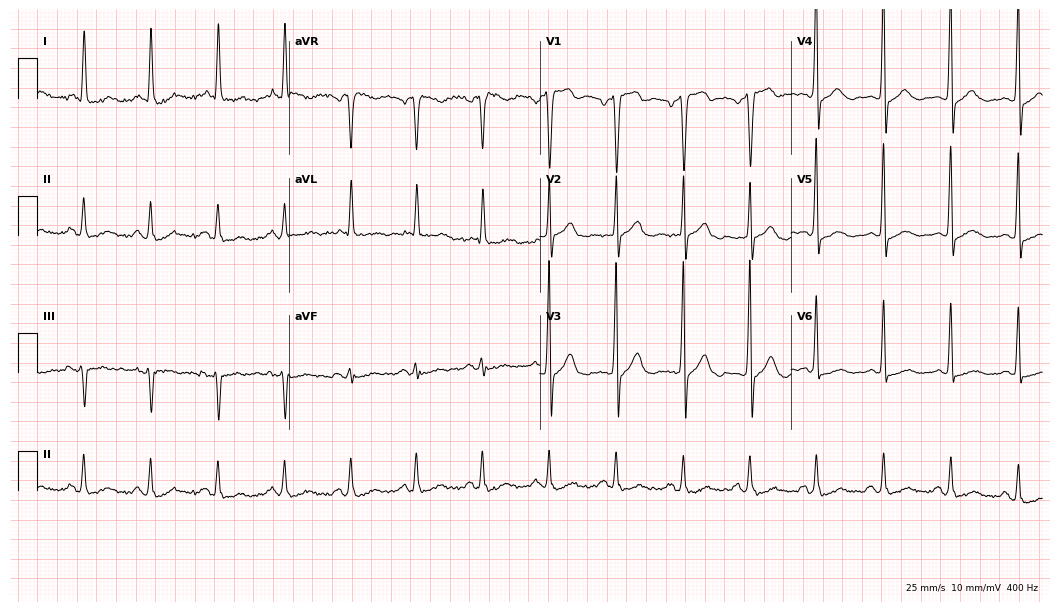
12-lead ECG from a male patient, 79 years old. Screened for six findings — first-degree AV block, right bundle branch block, left bundle branch block, sinus bradycardia, atrial fibrillation, sinus tachycardia — none is recorded.